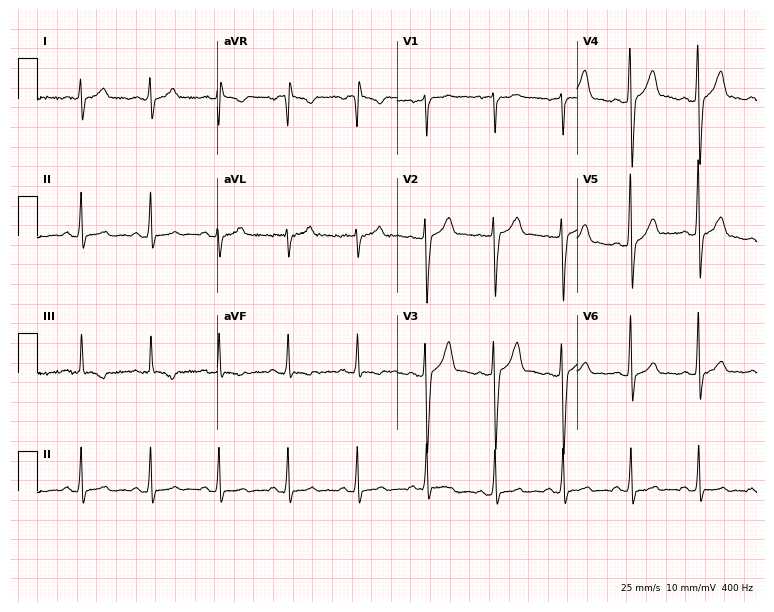
Standard 12-lead ECG recorded from a man, 31 years old. None of these six findings is recorded: first-degree AV block, right bundle branch block, left bundle branch block, sinus bradycardia, atrial fibrillation, sinus tachycardia. Other findings, if any, are not listed.